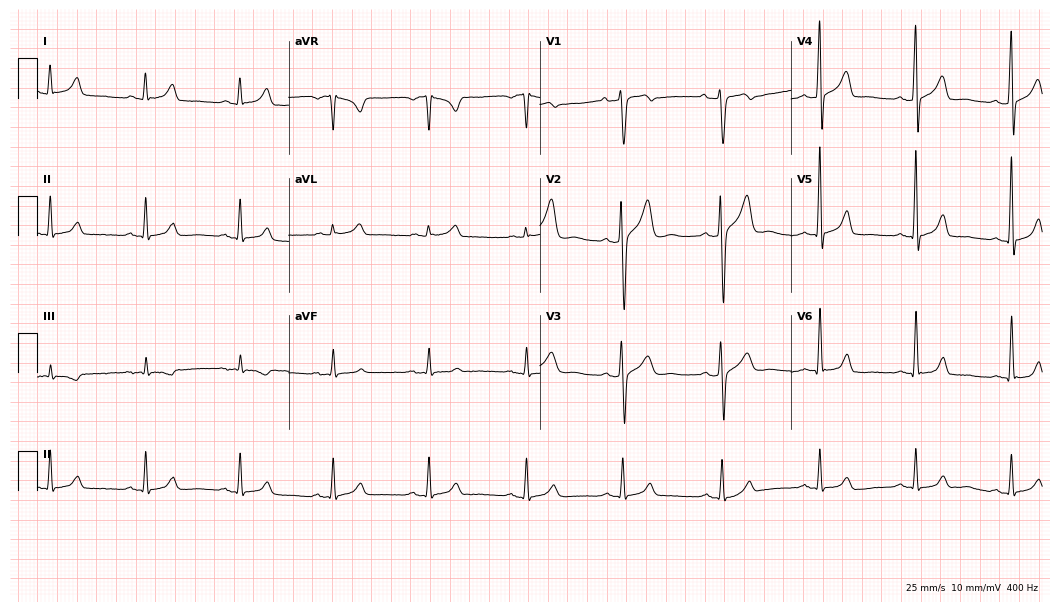
12-lead ECG from a male, 52 years old. Recorded interpretation: within normal limits.